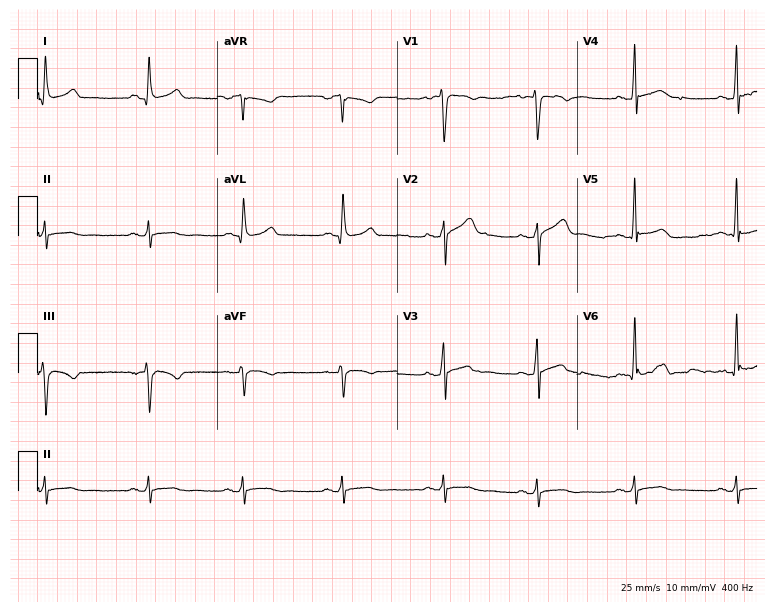
Standard 12-lead ECG recorded from a male patient, 26 years old (7.3-second recording at 400 Hz). Read as a normal ECG.